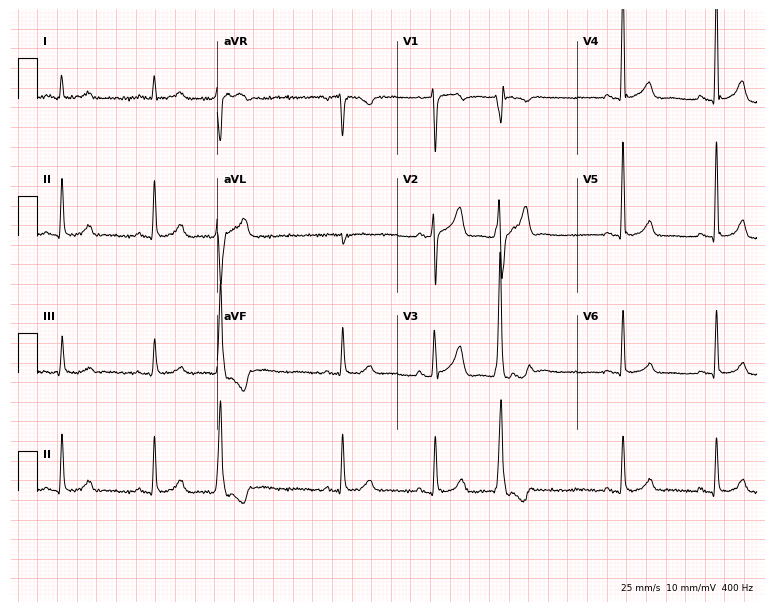
12-lead ECG from an 81-year-old male patient (7.3-second recording at 400 Hz). No first-degree AV block, right bundle branch block, left bundle branch block, sinus bradycardia, atrial fibrillation or sinus tachycardia recorded for this tracing. Findings outside these six are not listed.